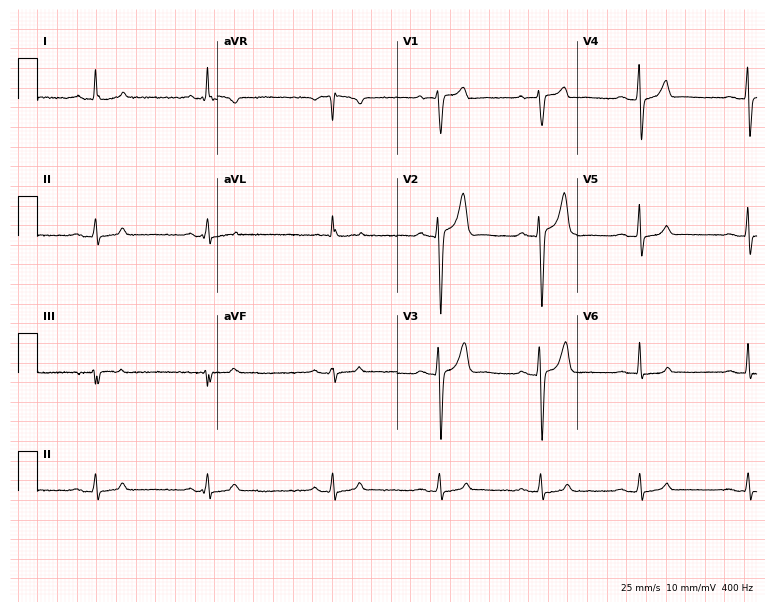
ECG (7.3-second recording at 400 Hz) — a male, 53 years old. Labelled as a normal ECG.